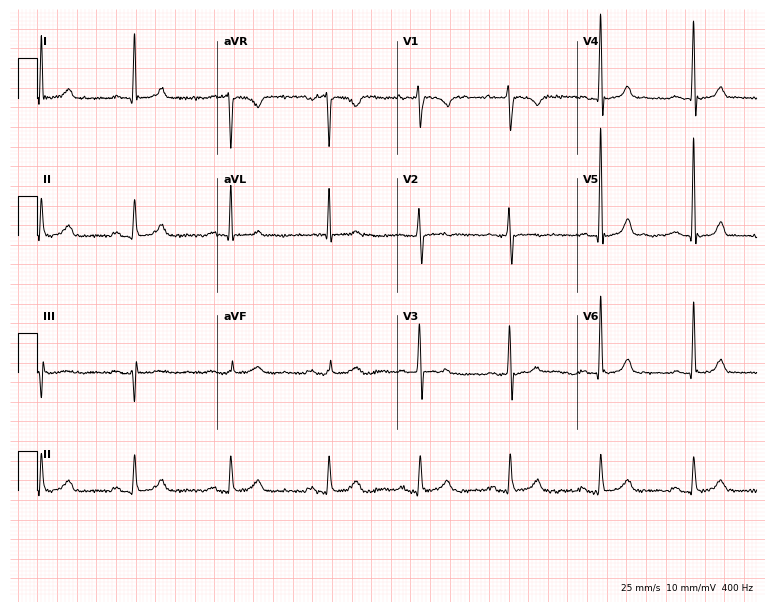
Standard 12-lead ECG recorded from a 59-year-old female (7.3-second recording at 400 Hz). None of these six findings is recorded: first-degree AV block, right bundle branch block, left bundle branch block, sinus bradycardia, atrial fibrillation, sinus tachycardia. Other findings, if any, are not listed.